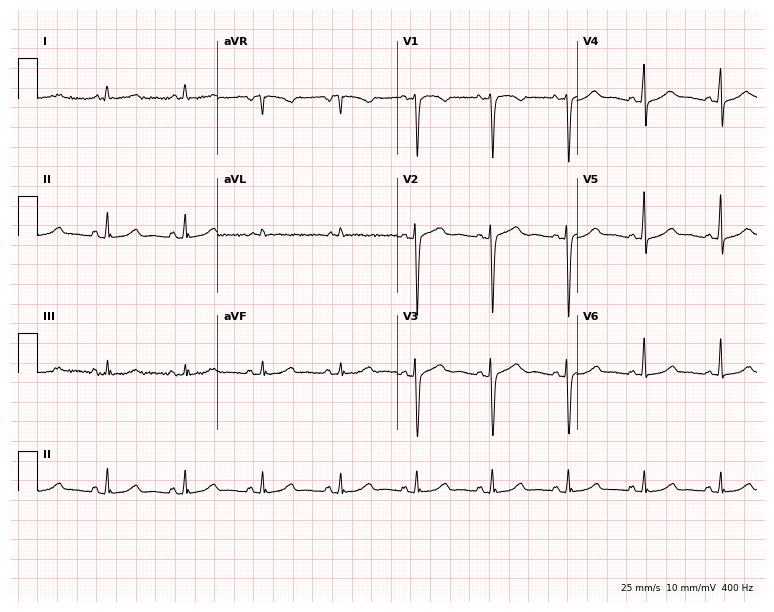
ECG (7.3-second recording at 400 Hz) — a 58-year-old male. Screened for six findings — first-degree AV block, right bundle branch block, left bundle branch block, sinus bradycardia, atrial fibrillation, sinus tachycardia — none is recorded.